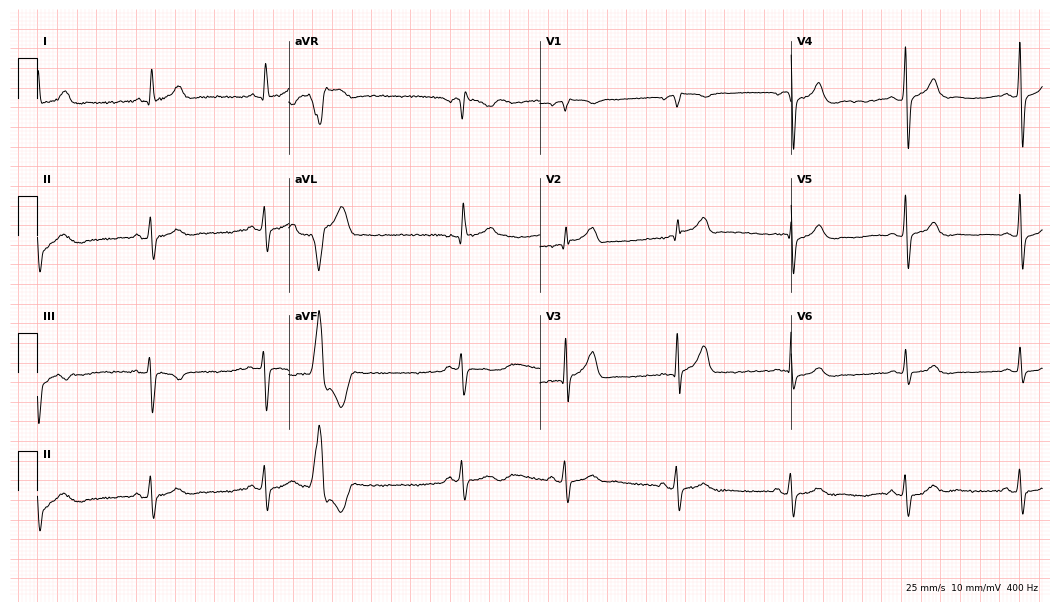
Electrocardiogram, a male patient, 71 years old. Overall reading on record: normal ECG.